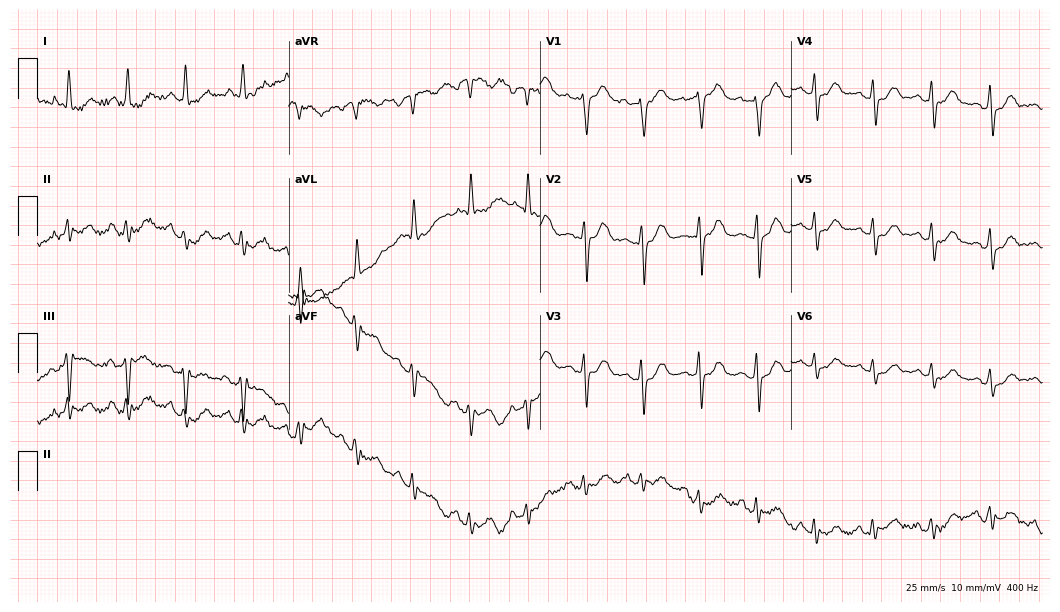
Resting 12-lead electrocardiogram (10.2-second recording at 400 Hz). Patient: a 49-year-old man. None of these six findings is recorded: first-degree AV block, right bundle branch block, left bundle branch block, sinus bradycardia, atrial fibrillation, sinus tachycardia. Only these six findings were labelled.